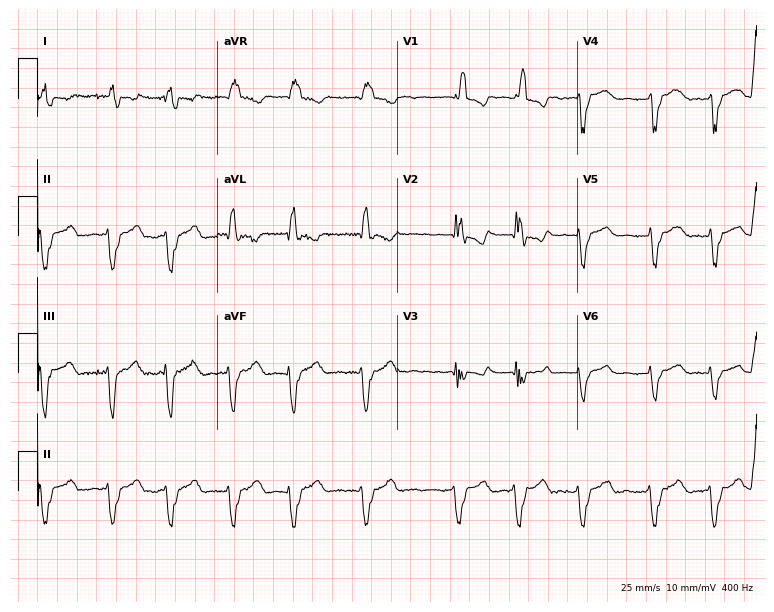
ECG — an 84-year-old female patient. Findings include right bundle branch block, atrial fibrillation.